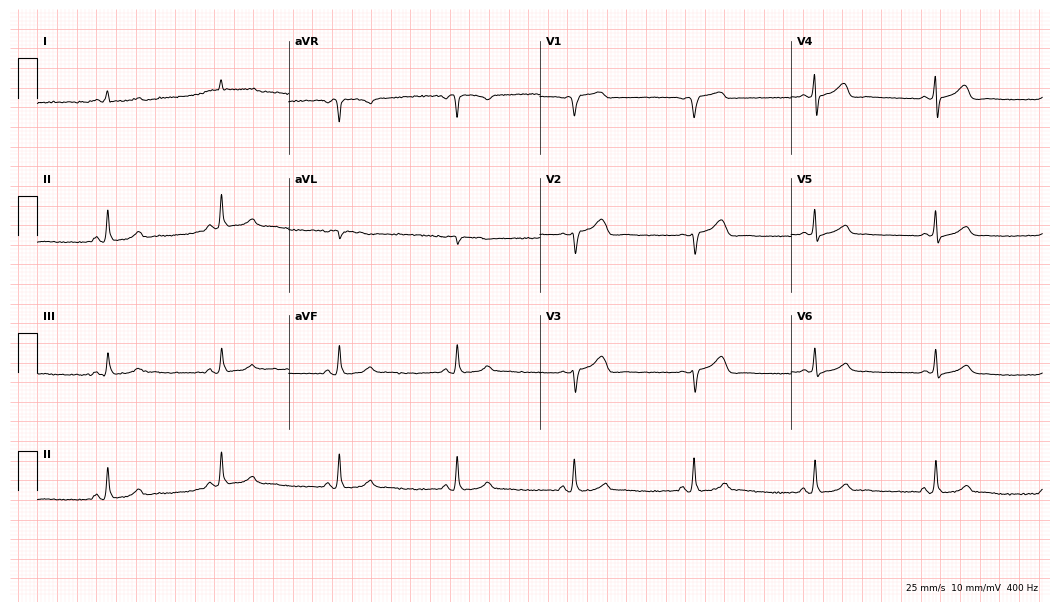
Resting 12-lead electrocardiogram. Patient: a male, 64 years old. None of these six findings is recorded: first-degree AV block, right bundle branch block, left bundle branch block, sinus bradycardia, atrial fibrillation, sinus tachycardia.